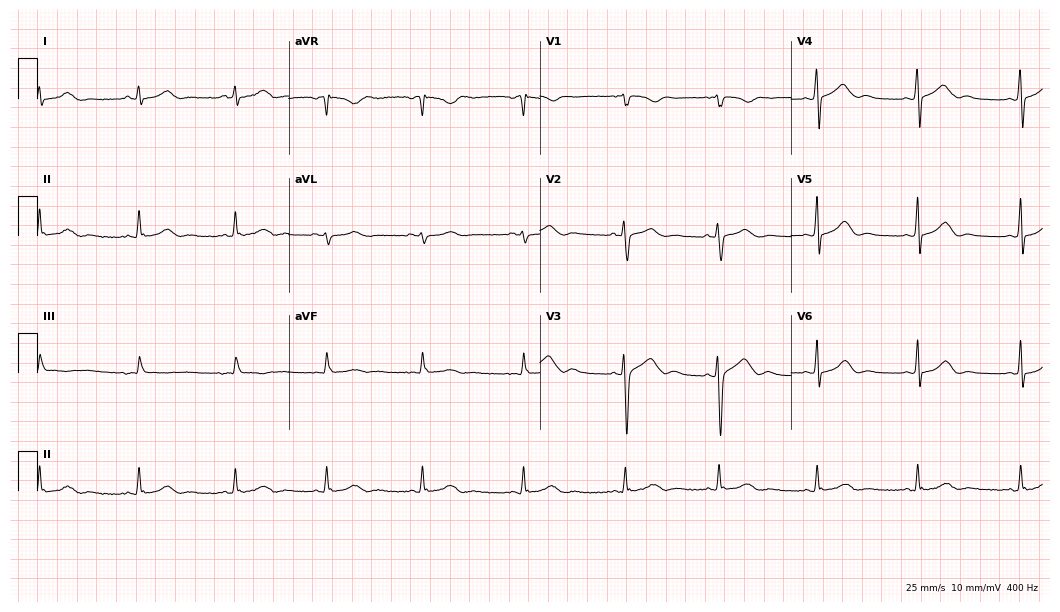
Electrocardiogram, a woman, 17 years old. Overall reading on record: normal ECG.